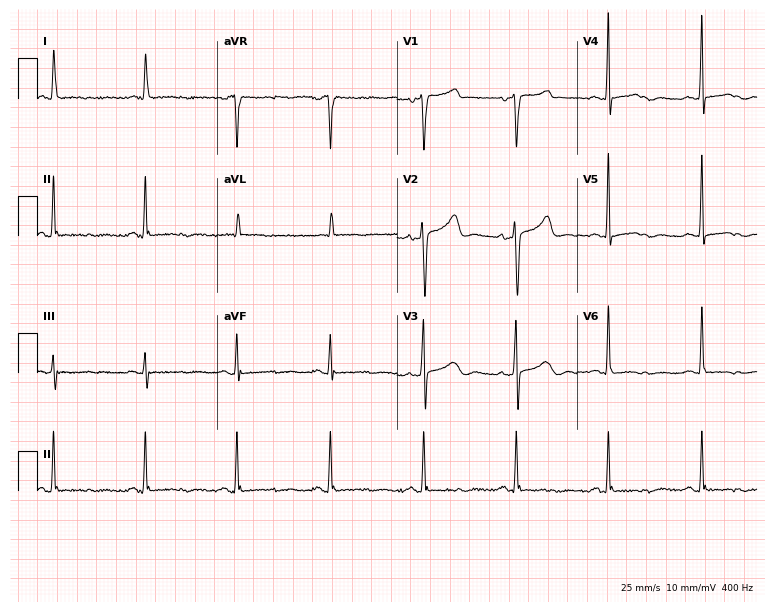
Electrocardiogram (7.3-second recording at 400 Hz), a female, 78 years old. Overall reading on record: normal ECG.